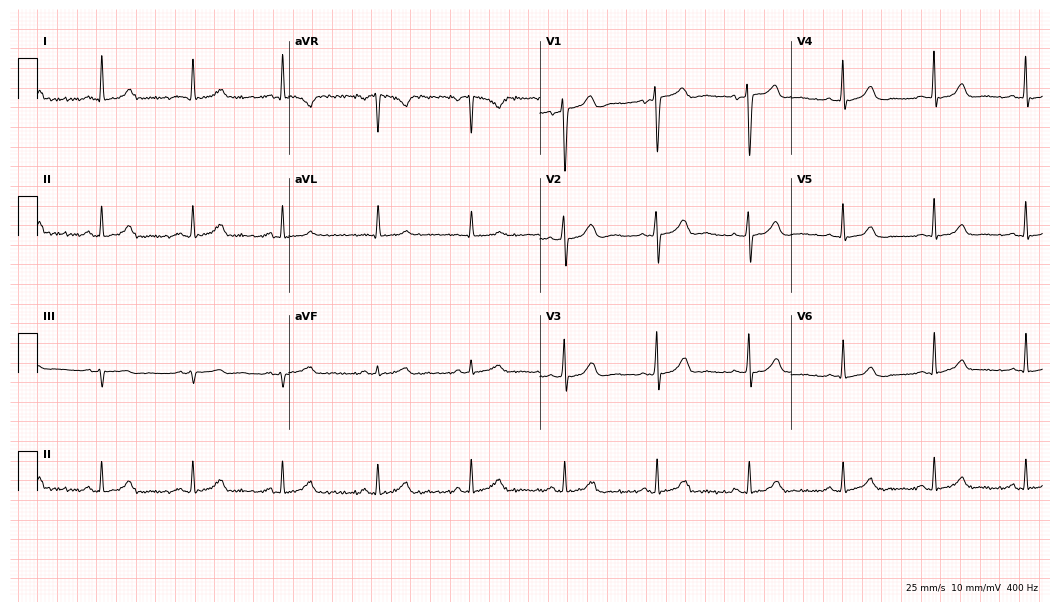
12-lead ECG from a female patient, 21 years old. Recorded interpretation: within normal limits.